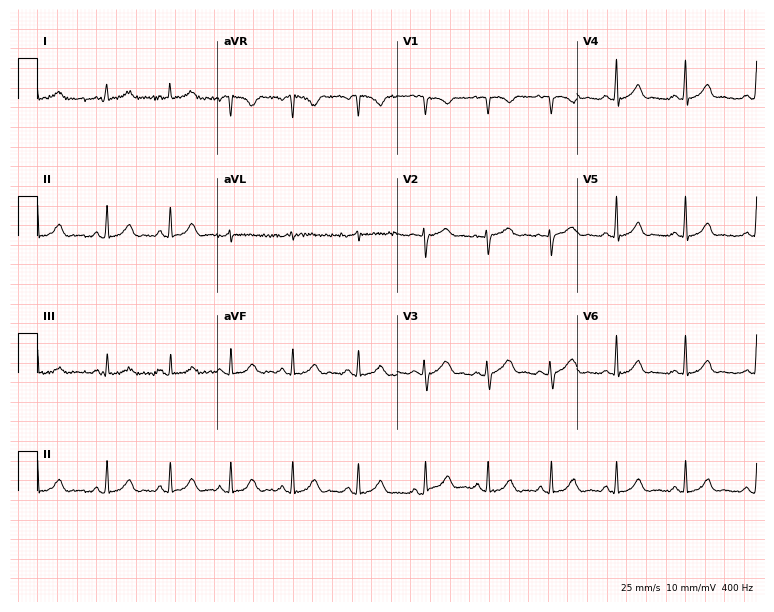
12-lead ECG (7.3-second recording at 400 Hz) from a 29-year-old female patient. Labelled as a normal ECG.